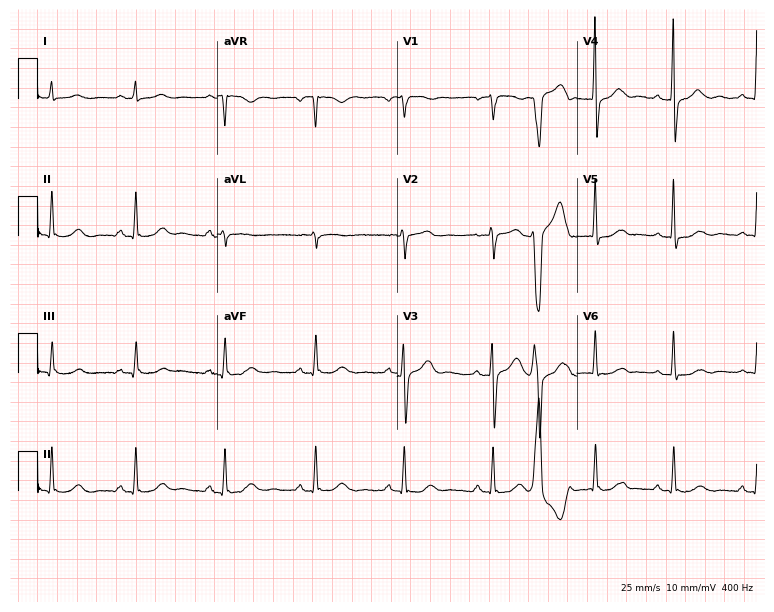
12-lead ECG from a female, 51 years old. Labelled as a normal ECG.